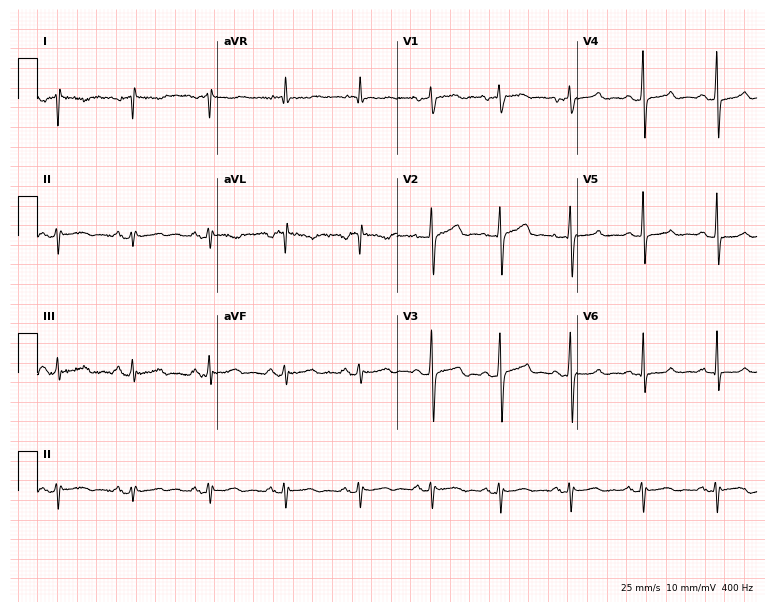
12-lead ECG from a 57-year-old man (7.3-second recording at 400 Hz). No first-degree AV block, right bundle branch block, left bundle branch block, sinus bradycardia, atrial fibrillation or sinus tachycardia recorded for this tracing.